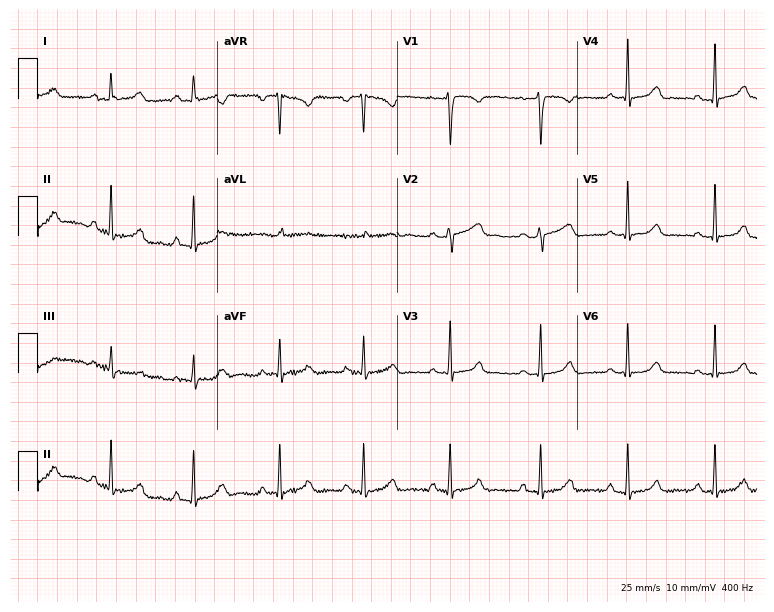
ECG (7.3-second recording at 400 Hz) — a 29-year-old female. Screened for six findings — first-degree AV block, right bundle branch block (RBBB), left bundle branch block (LBBB), sinus bradycardia, atrial fibrillation (AF), sinus tachycardia — none is recorded. Only these six findings were labelled.